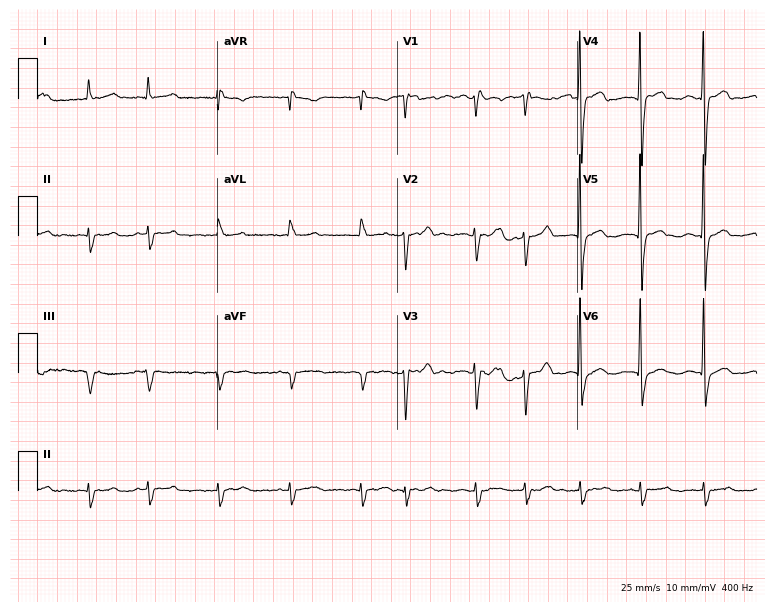
Resting 12-lead electrocardiogram. Patient: an 85-year-old male. The tracing shows atrial fibrillation.